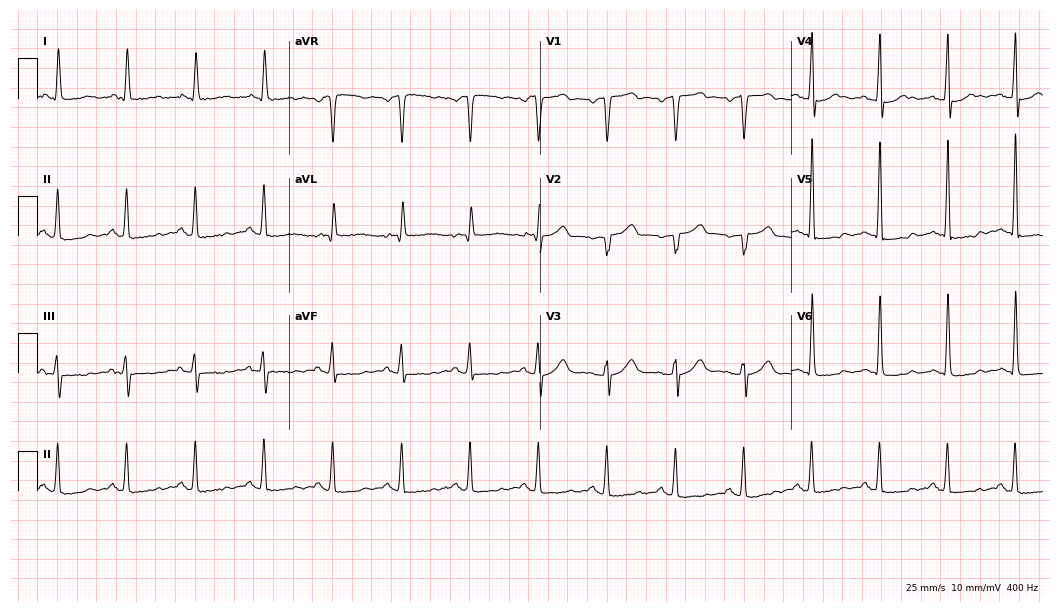
12-lead ECG (10.2-second recording at 400 Hz) from a female patient, 62 years old. Screened for six findings — first-degree AV block, right bundle branch block (RBBB), left bundle branch block (LBBB), sinus bradycardia, atrial fibrillation (AF), sinus tachycardia — none is recorded.